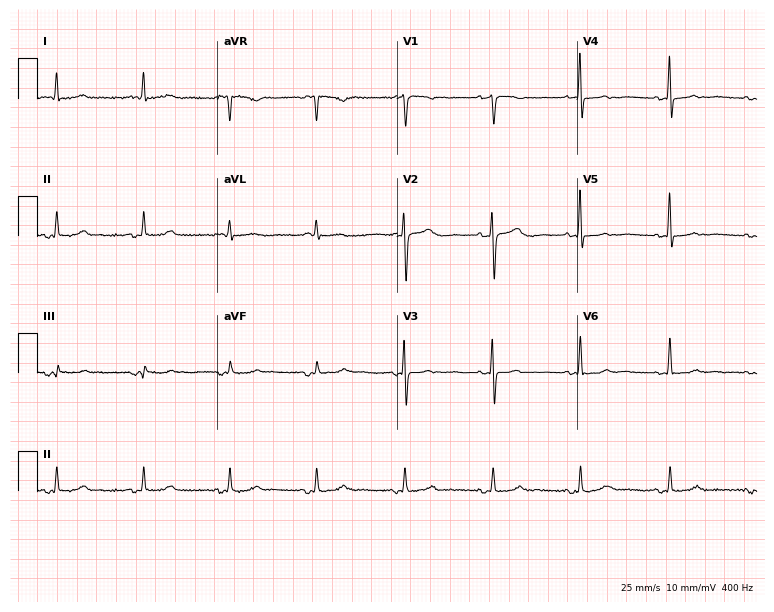
12-lead ECG from a 77-year-old woman (7.3-second recording at 400 Hz). No first-degree AV block, right bundle branch block (RBBB), left bundle branch block (LBBB), sinus bradycardia, atrial fibrillation (AF) or sinus tachycardia recorded for this tracing. Only these six findings were labelled.